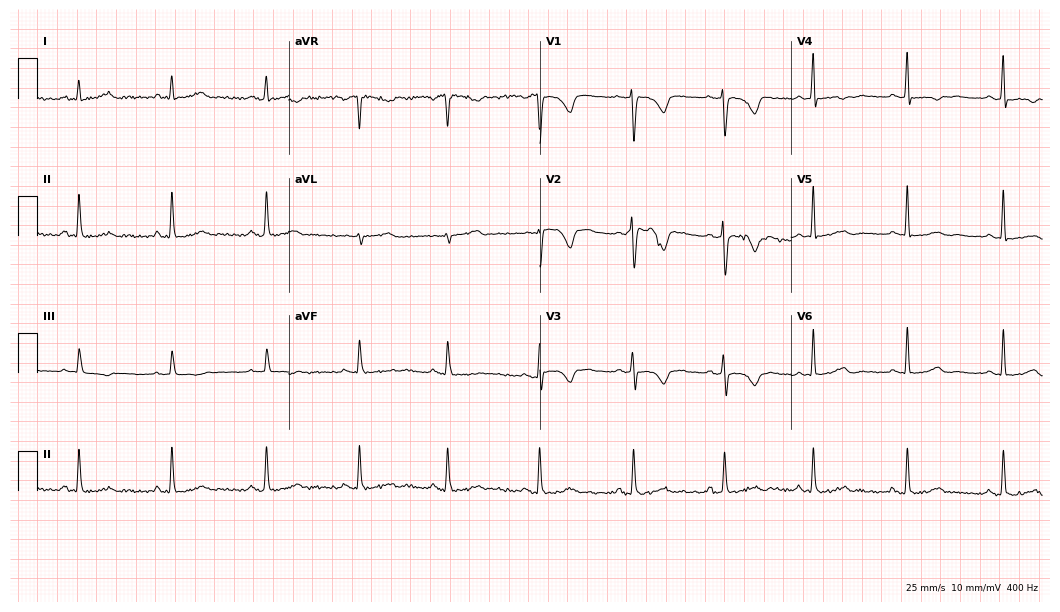
Electrocardiogram (10.2-second recording at 400 Hz), a 37-year-old female. Of the six screened findings (first-degree AV block, right bundle branch block, left bundle branch block, sinus bradycardia, atrial fibrillation, sinus tachycardia), none is recorded. Other findings, if any, are not listed.